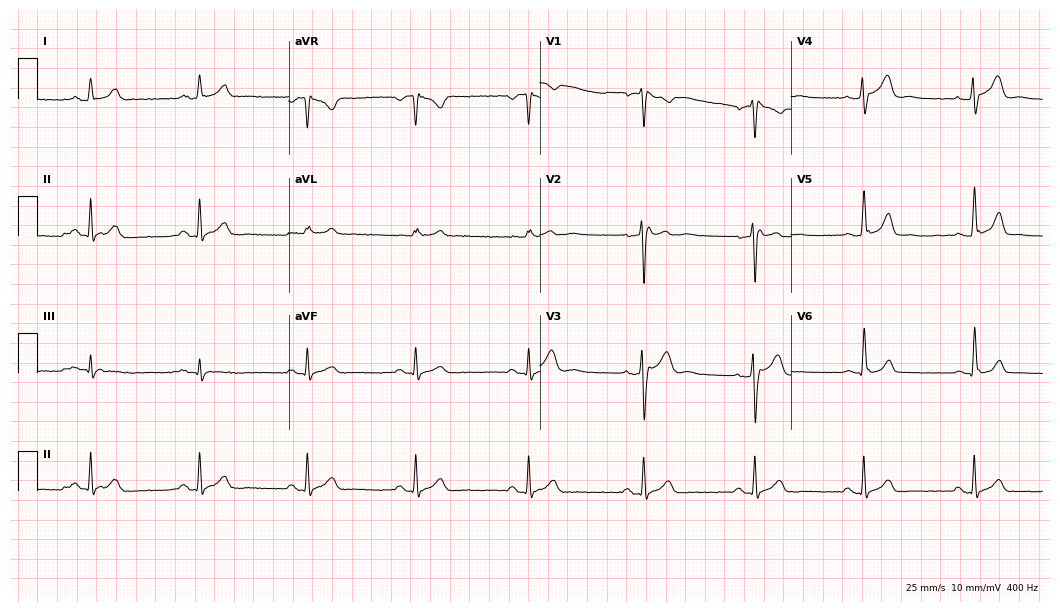
Resting 12-lead electrocardiogram (10.2-second recording at 400 Hz). Patient: a 40-year-old man. None of these six findings is recorded: first-degree AV block, right bundle branch block (RBBB), left bundle branch block (LBBB), sinus bradycardia, atrial fibrillation (AF), sinus tachycardia. Other findings, if any, are not listed.